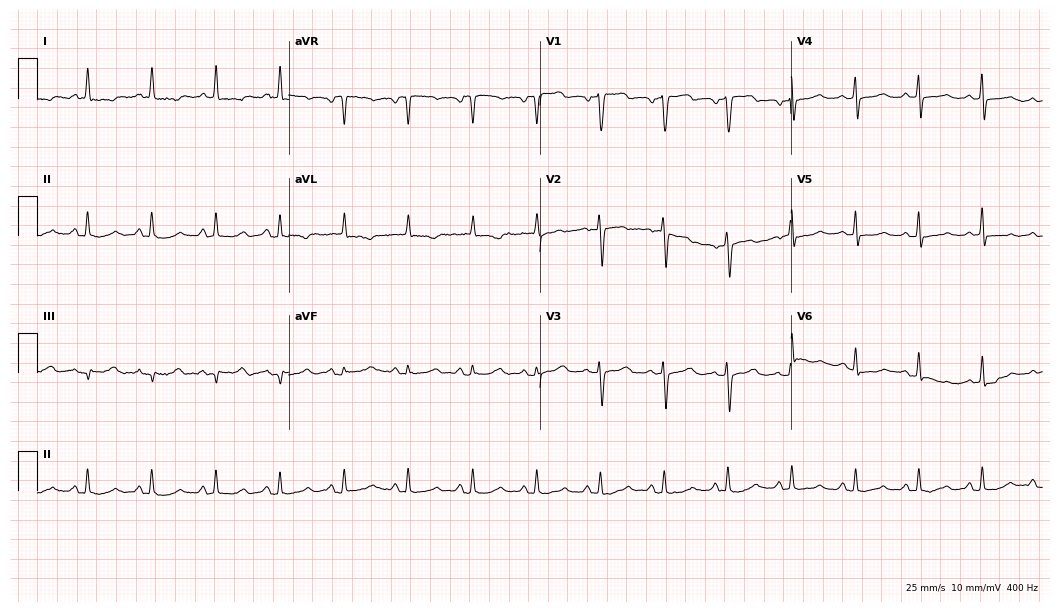
ECG — a female patient, 73 years old. Labelled as a normal ECG.